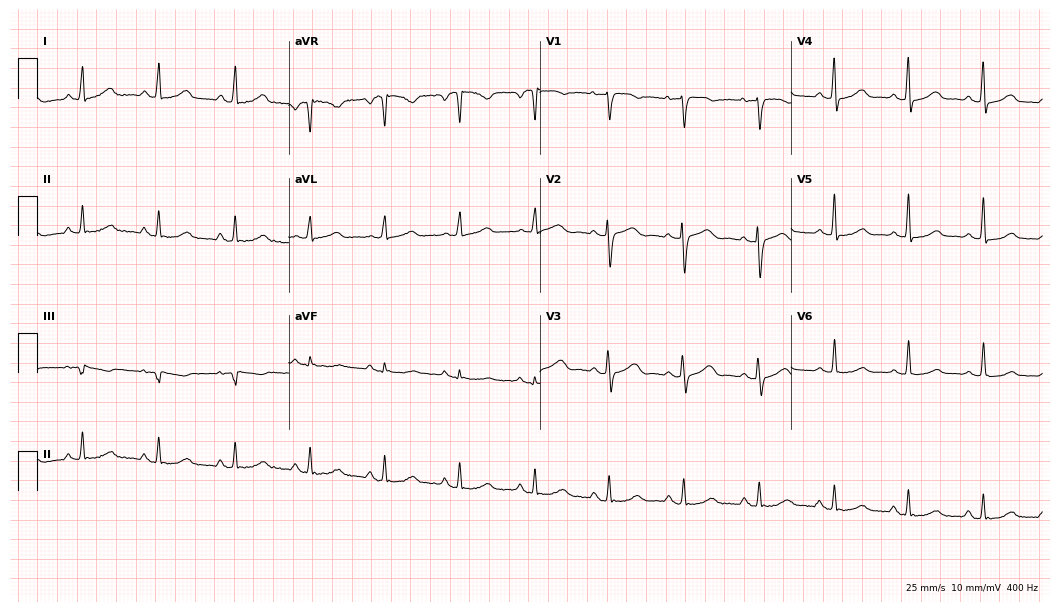
Resting 12-lead electrocardiogram. Patient: a 50-year-old woman. None of these six findings is recorded: first-degree AV block, right bundle branch block, left bundle branch block, sinus bradycardia, atrial fibrillation, sinus tachycardia. Only these six findings were labelled.